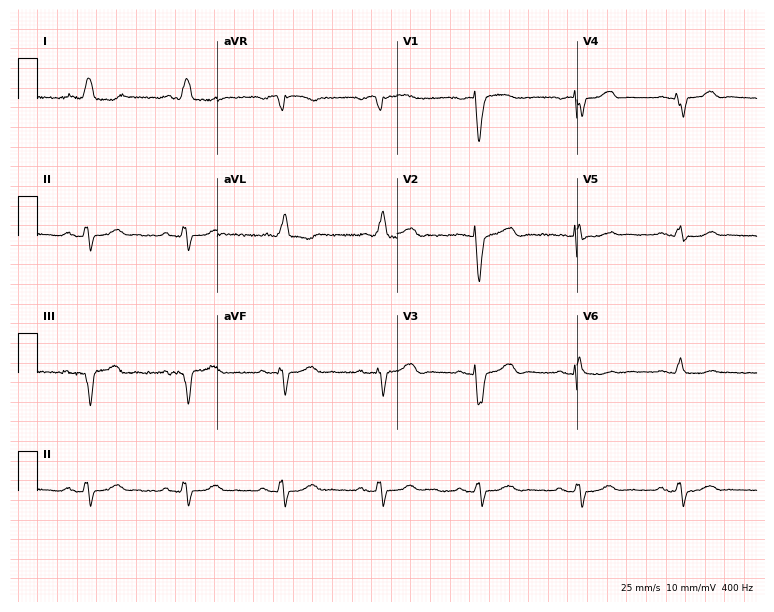
12-lead ECG from a woman, 80 years old. Shows left bundle branch block.